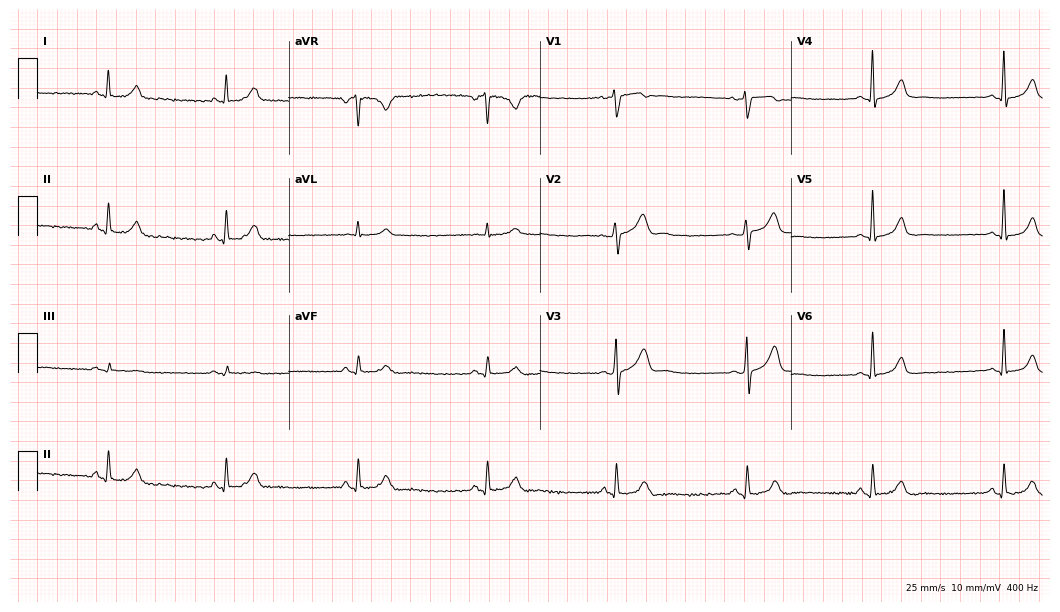
Resting 12-lead electrocardiogram (10.2-second recording at 400 Hz). Patient: a female, 36 years old. The tracing shows sinus bradycardia (a sinus rate of 50 beats per minute or less).